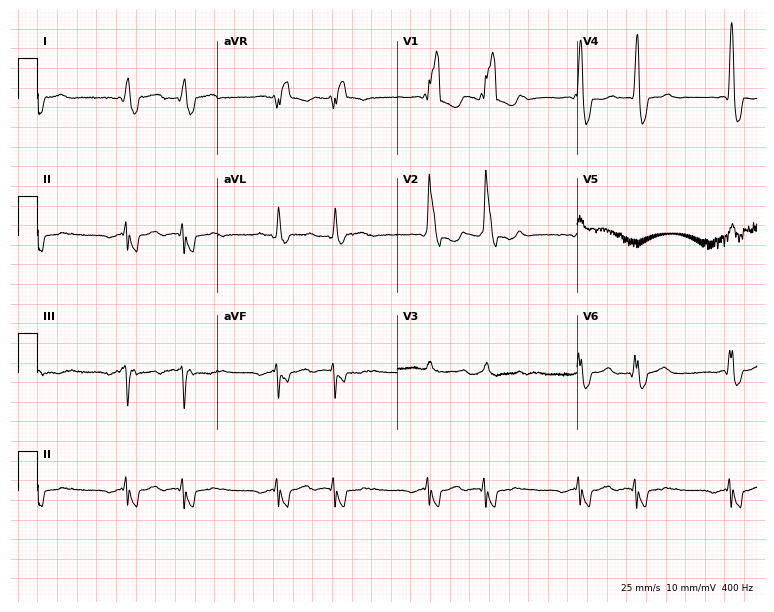
Resting 12-lead electrocardiogram (7.3-second recording at 400 Hz). Patient: a male, 86 years old. The tracing shows right bundle branch block (RBBB).